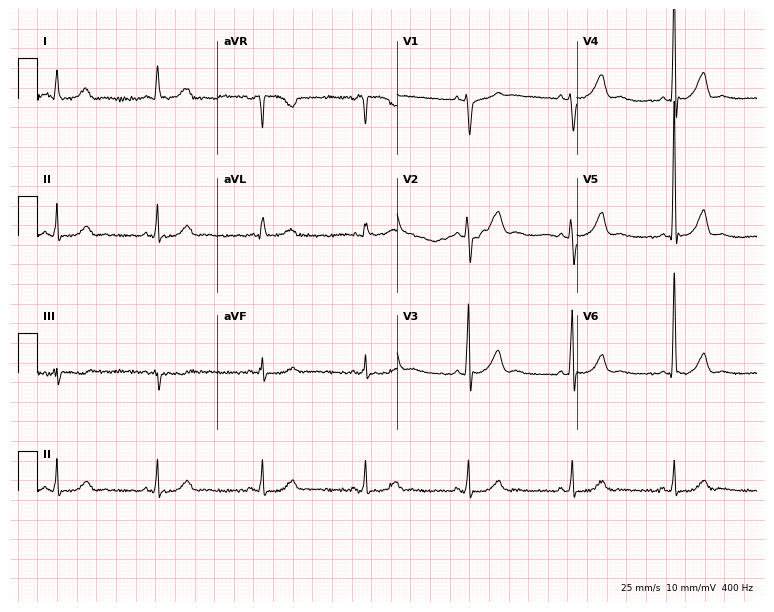
12-lead ECG (7.3-second recording at 400 Hz) from a man, 57 years old. Screened for six findings — first-degree AV block, right bundle branch block, left bundle branch block, sinus bradycardia, atrial fibrillation, sinus tachycardia — none is recorded.